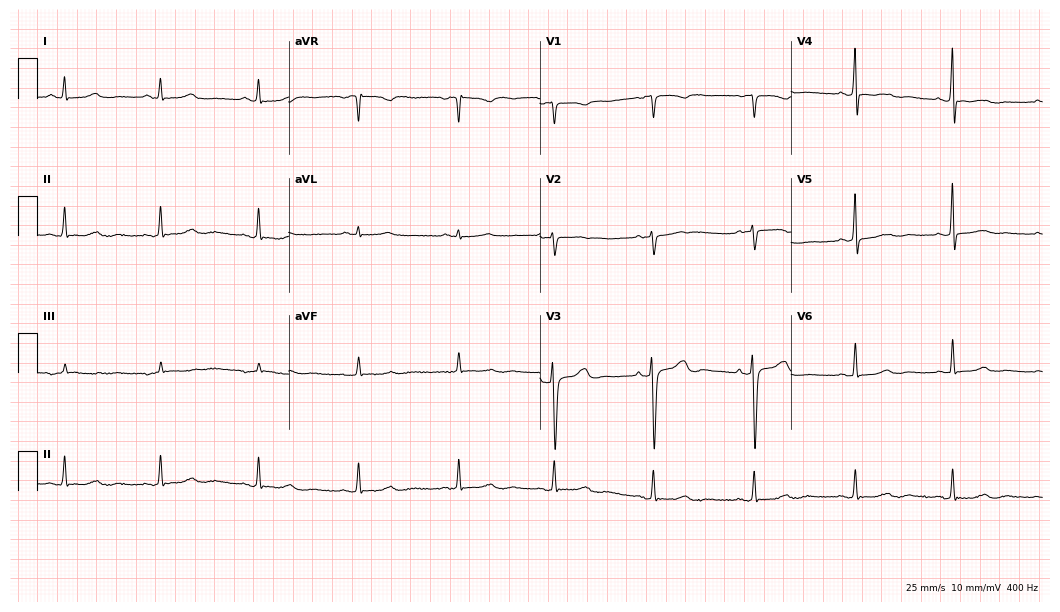
12-lead ECG from a woman, 41 years old (10.2-second recording at 400 Hz). Recorded interpretation: within normal limits.